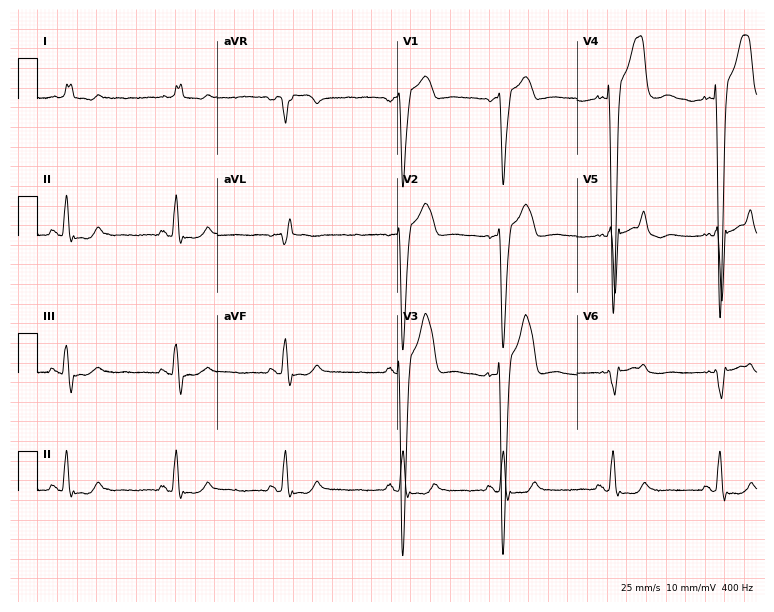
Resting 12-lead electrocardiogram. Patient: a 59-year-old male. The tracing shows left bundle branch block.